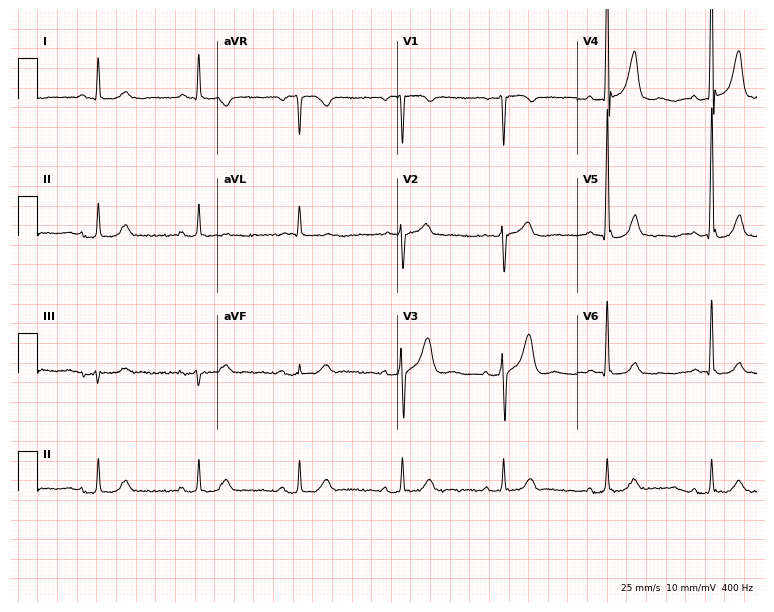
Standard 12-lead ECG recorded from a 69-year-old male patient (7.3-second recording at 400 Hz). None of these six findings is recorded: first-degree AV block, right bundle branch block (RBBB), left bundle branch block (LBBB), sinus bradycardia, atrial fibrillation (AF), sinus tachycardia. Findings outside these six are not listed.